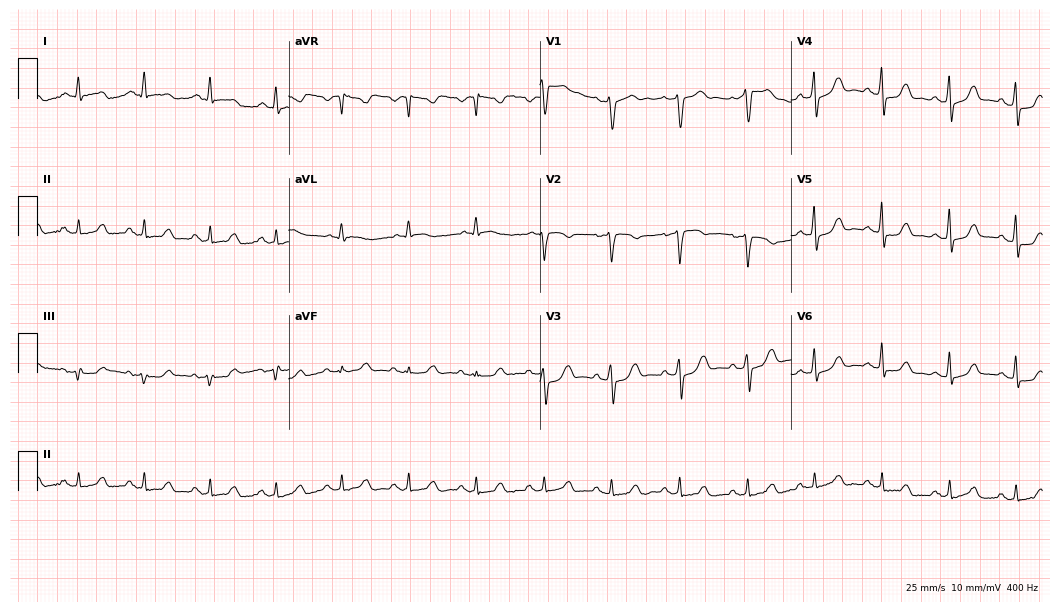
12-lead ECG from a woman, 59 years old (10.2-second recording at 400 Hz). Recorded interpretation: within normal limits.